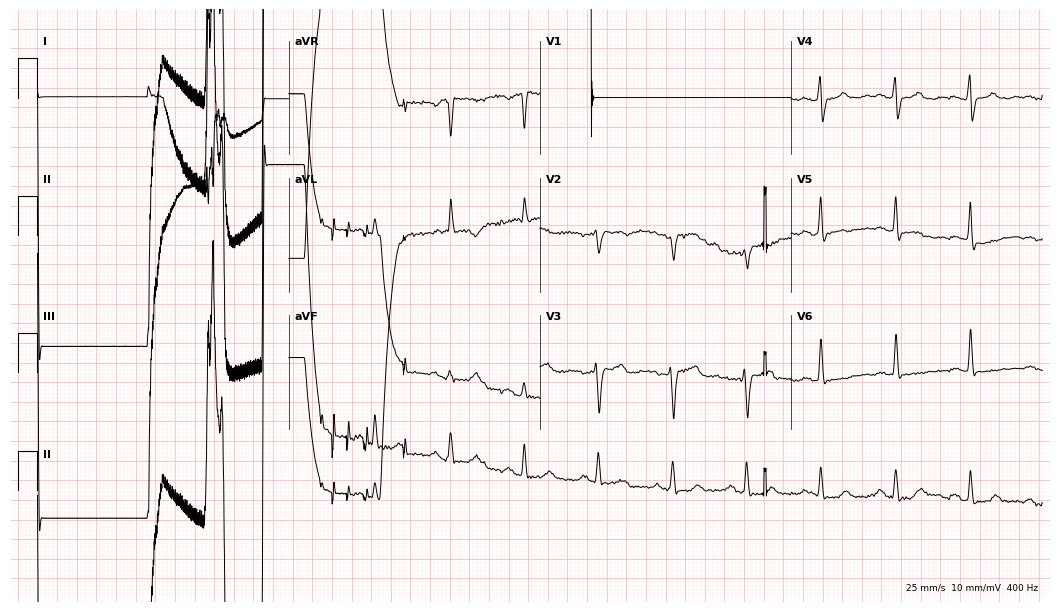
ECG — a female patient, 66 years old. Screened for six findings — first-degree AV block, right bundle branch block, left bundle branch block, sinus bradycardia, atrial fibrillation, sinus tachycardia — none is recorded. Findings outside these six are not listed.